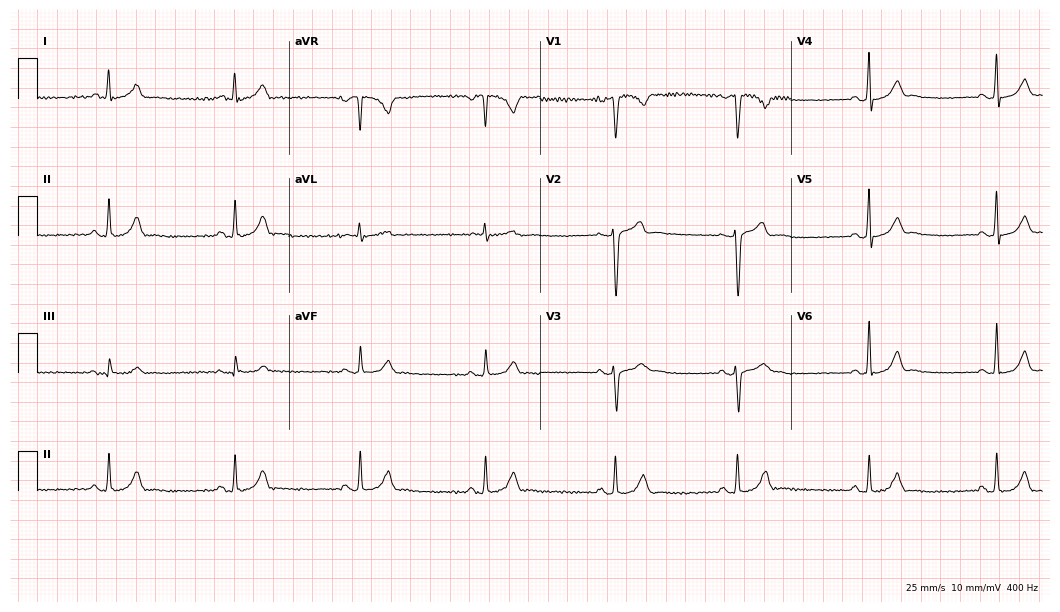
Electrocardiogram (10.2-second recording at 400 Hz), a man, 34 years old. Interpretation includes sinus bradycardia (a sinus rate of 50 beats per minute or less).